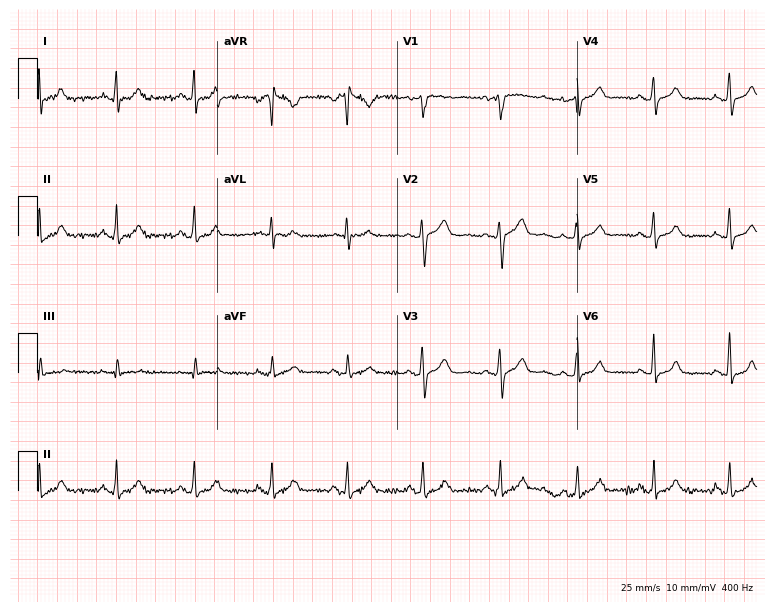
Electrocardiogram, a 57-year-old female. Overall reading on record: normal ECG.